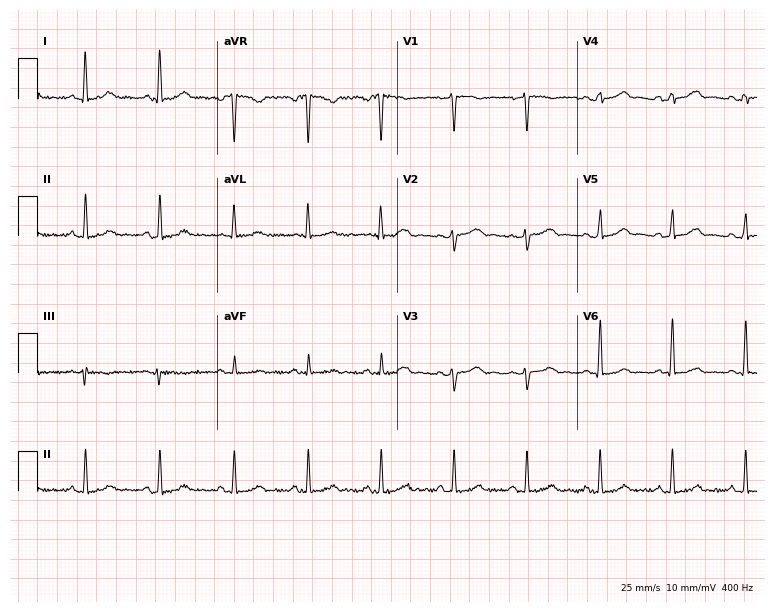
Electrocardiogram (7.3-second recording at 400 Hz), a 40-year-old male patient. Overall reading on record: normal ECG.